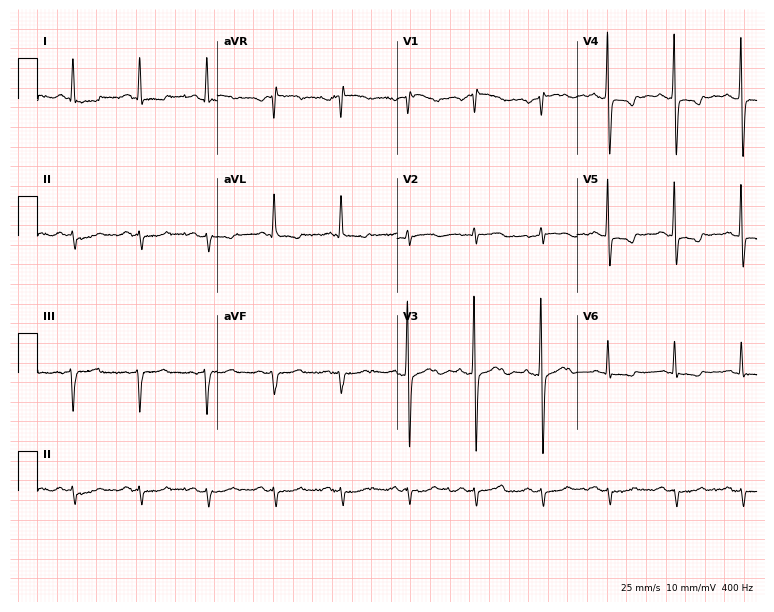
12-lead ECG from a male, 85 years old (7.3-second recording at 400 Hz). No first-degree AV block, right bundle branch block, left bundle branch block, sinus bradycardia, atrial fibrillation or sinus tachycardia recorded for this tracing.